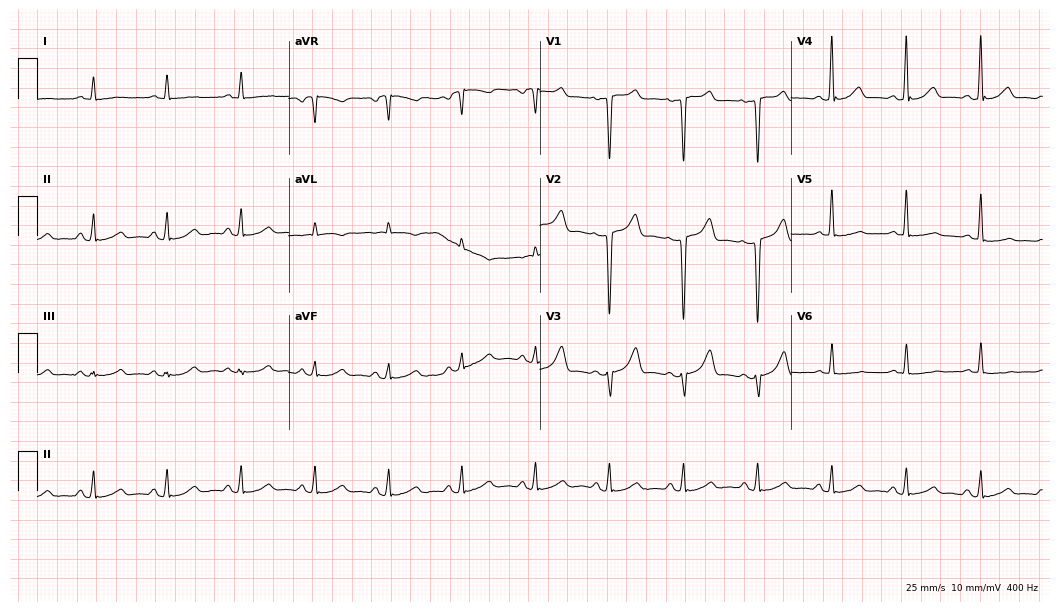
Electrocardiogram, a female, 59 years old. Overall reading on record: normal ECG.